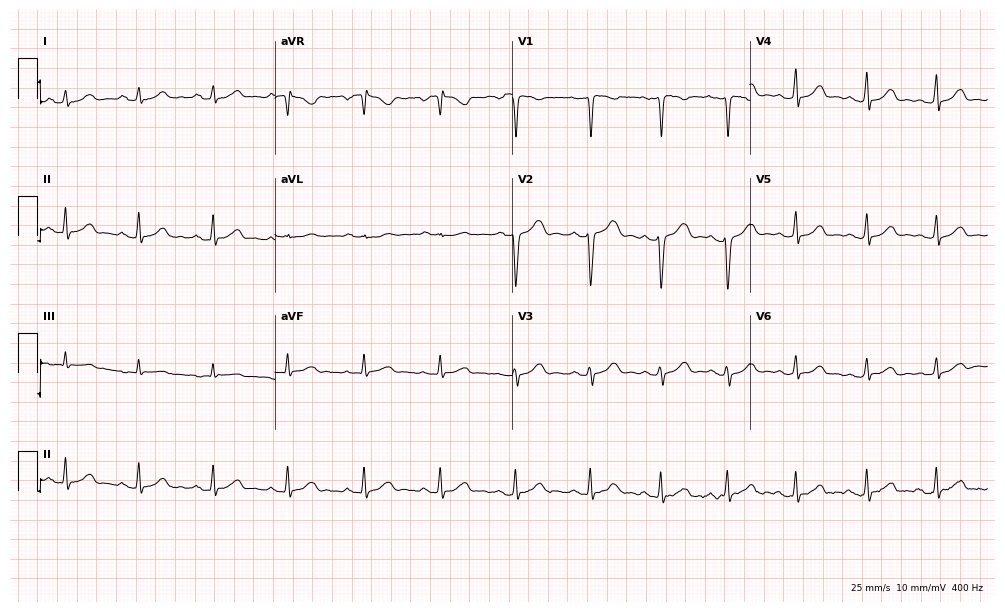
Resting 12-lead electrocardiogram (9.7-second recording at 400 Hz). Patient: a 19-year-old female. Read as a normal ECG.